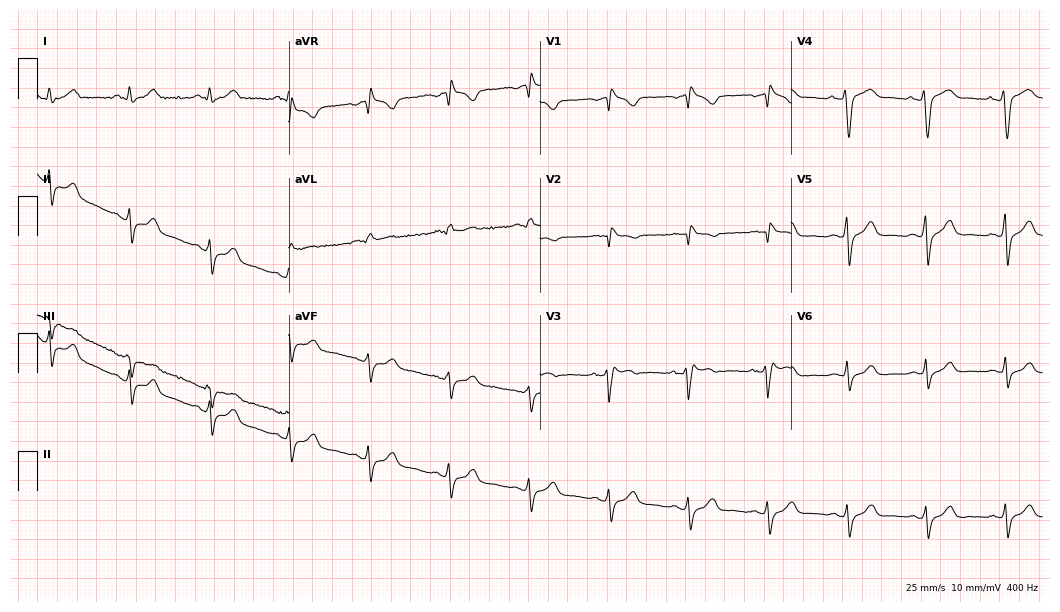
Resting 12-lead electrocardiogram. Patient: a 53-year-old man. None of these six findings is recorded: first-degree AV block, right bundle branch block (RBBB), left bundle branch block (LBBB), sinus bradycardia, atrial fibrillation (AF), sinus tachycardia.